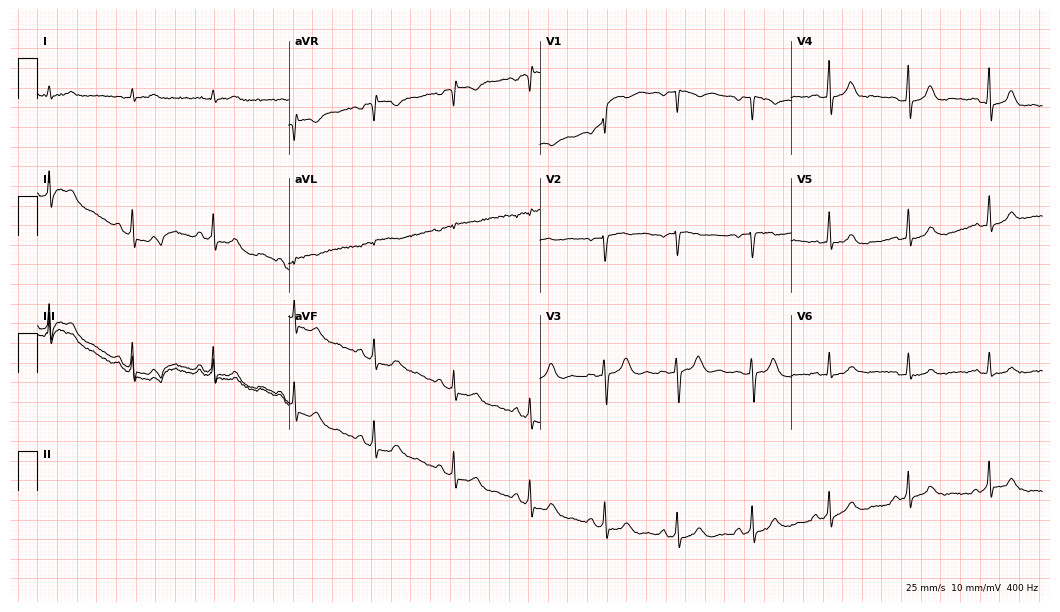
Electrocardiogram, a 38-year-old female patient. Overall reading on record: normal ECG.